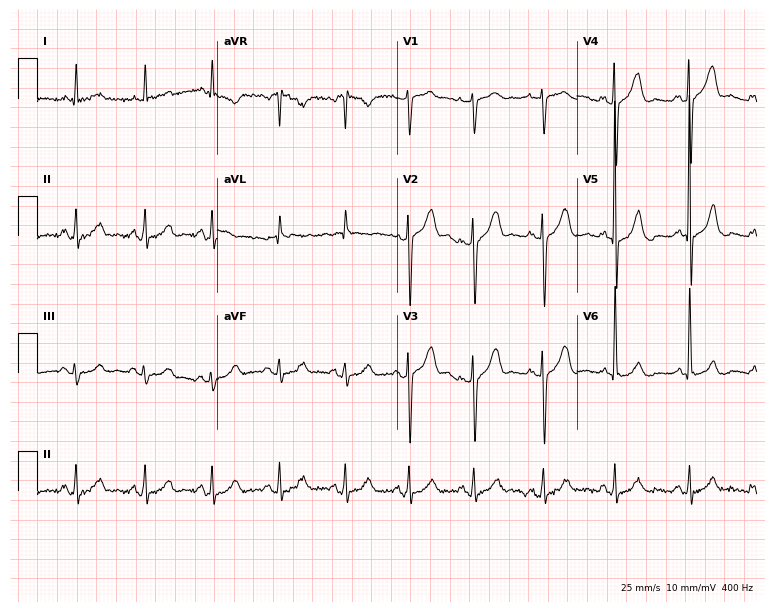
Electrocardiogram (7.3-second recording at 400 Hz), a male, 58 years old. Of the six screened findings (first-degree AV block, right bundle branch block (RBBB), left bundle branch block (LBBB), sinus bradycardia, atrial fibrillation (AF), sinus tachycardia), none is recorded. Findings outside these six are not listed.